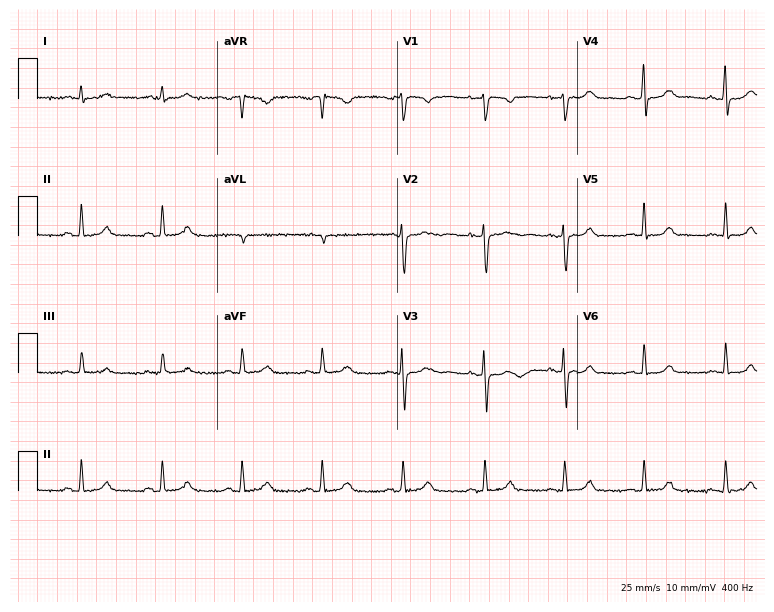
Standard 12-lead ECG recorded from a female patient, 38 years old. None of these six findings is recorded: first-degree AV block, right bundle branch block, left bundle branch block, sinus bradycardia, atrial fibrillation, sinus tachycardia. Only these six findings were labelled.